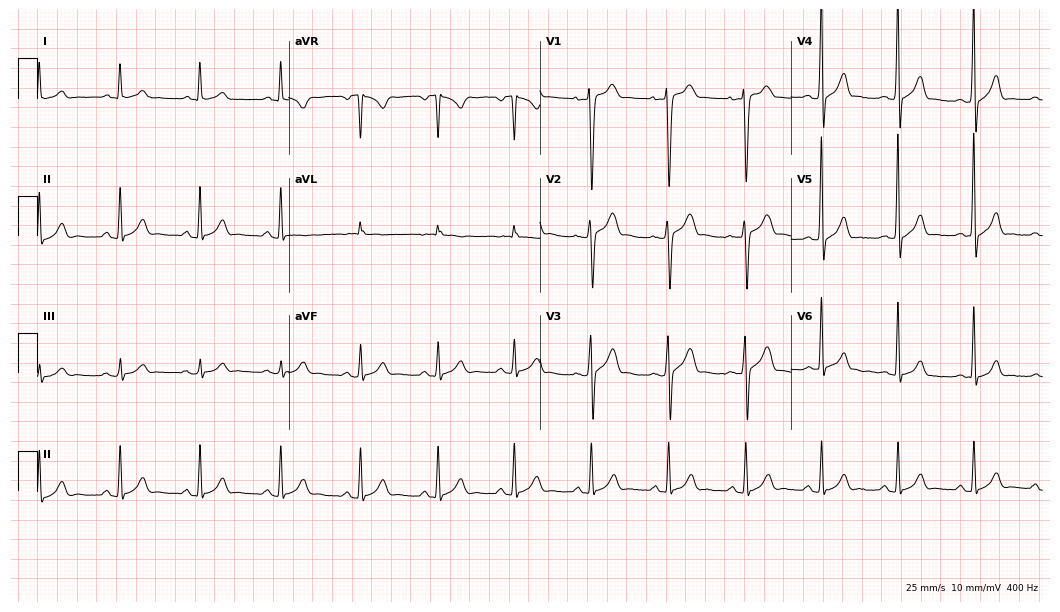
Electrocardiogram, a 17-year-old man. Overall reading on record: normal ECG.